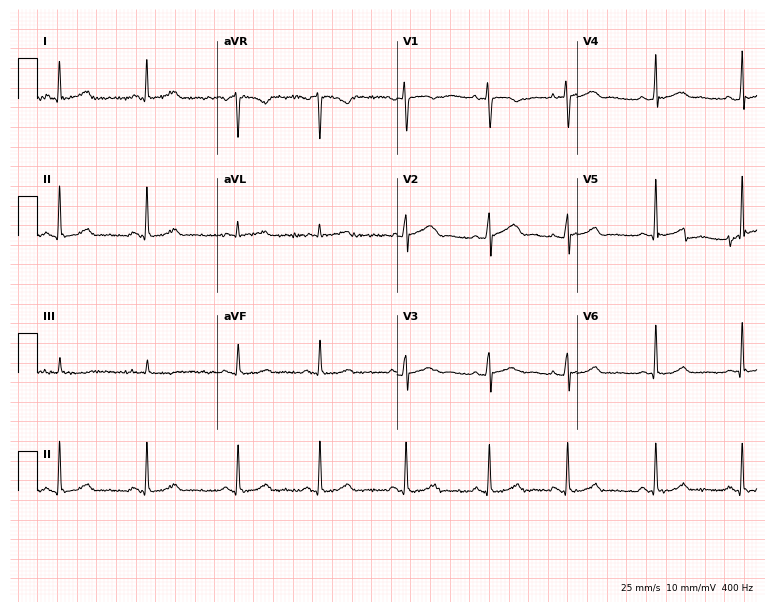
12-lead ECG from a female patient, 17 years old (7.3-second recording at 400 Hz). Recorded interpretation: within normal limits.